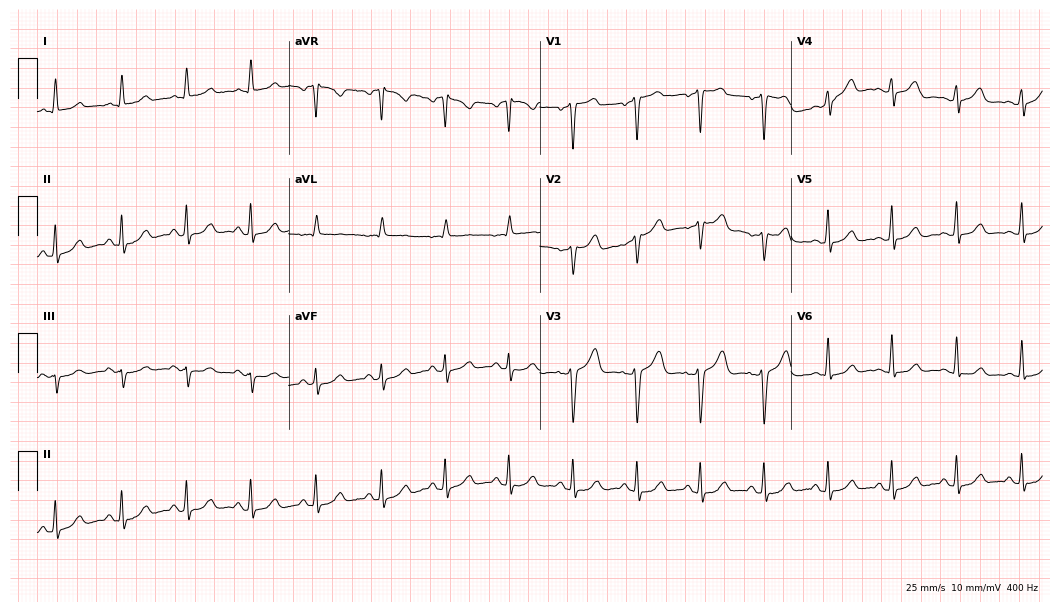
ECG — a female, 56 years old. Labelled as a normal ECG.